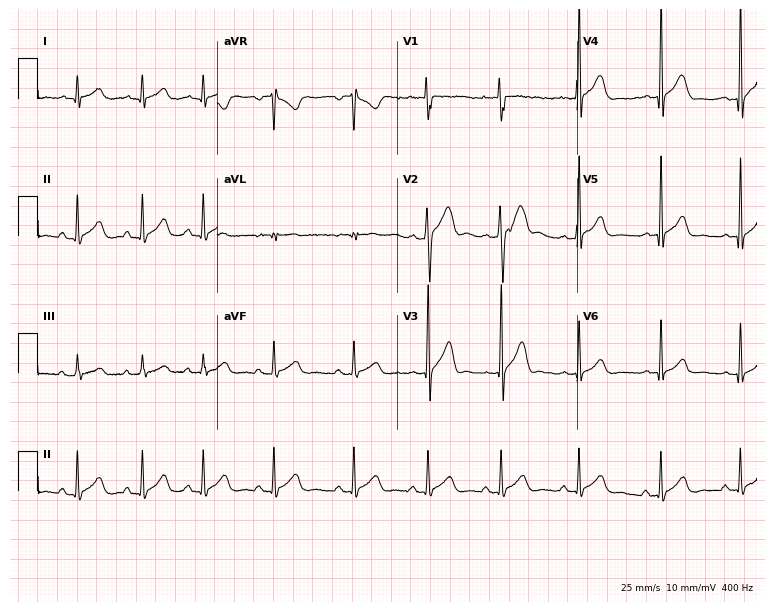
Electrocardiogram (7.3-second recording at 400 Hz), a male, 19 years old. Of the six screened findings (first-degree AV block, right bundle branch block, left bundle branch block, sinus bradycardia, atrial fibrillation, sinus tachycardia), none is recorded. Other findings, if any, are not listed.